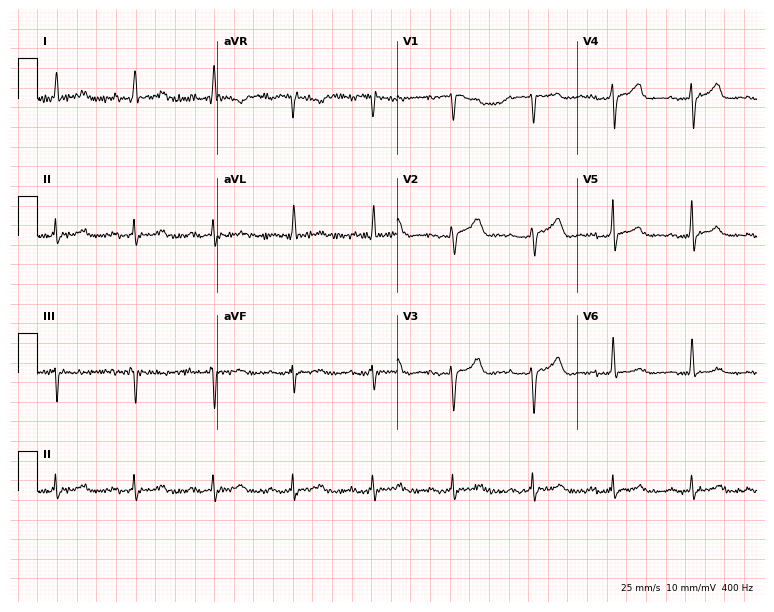
Electrocardiogram (7.3-second recording at 400 Hz), a 48-year-old female patient. Interpretation includes first-degree AV block.